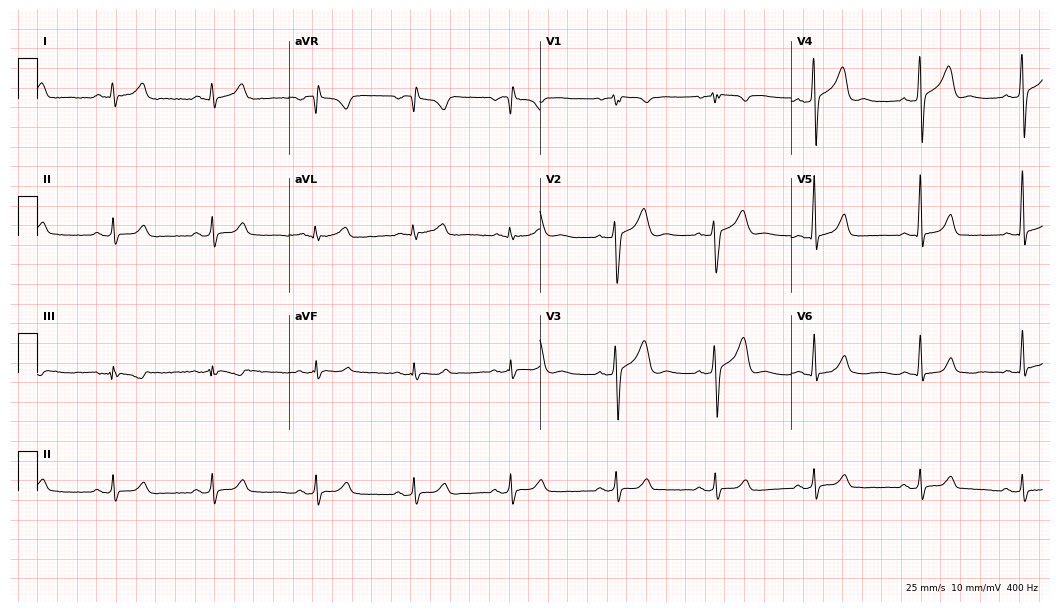
12-lead ECG from a 35-year-old man (10.2-second recording at 400 Hz). No first-degree AV block, right bundle branch block (RBBB), left bundle branch block (LBBB), sinus bradycardia, atrial fibrillation (AF) or sinus tachycardia recorded for this tracing. Other findings, if any, are not listed.